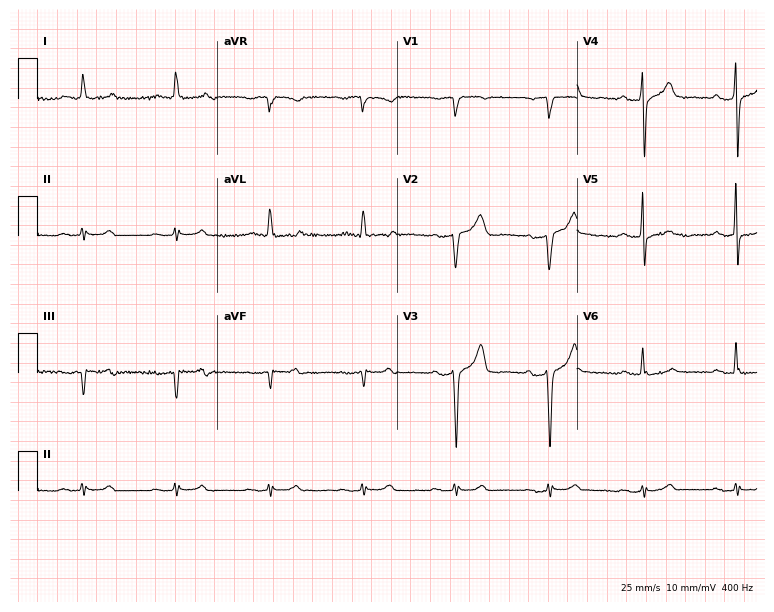
12-lead ECG from a 62-year-old male patient (7.3-second recording at 400 Hz). Recorded interpretation: within normal limits.